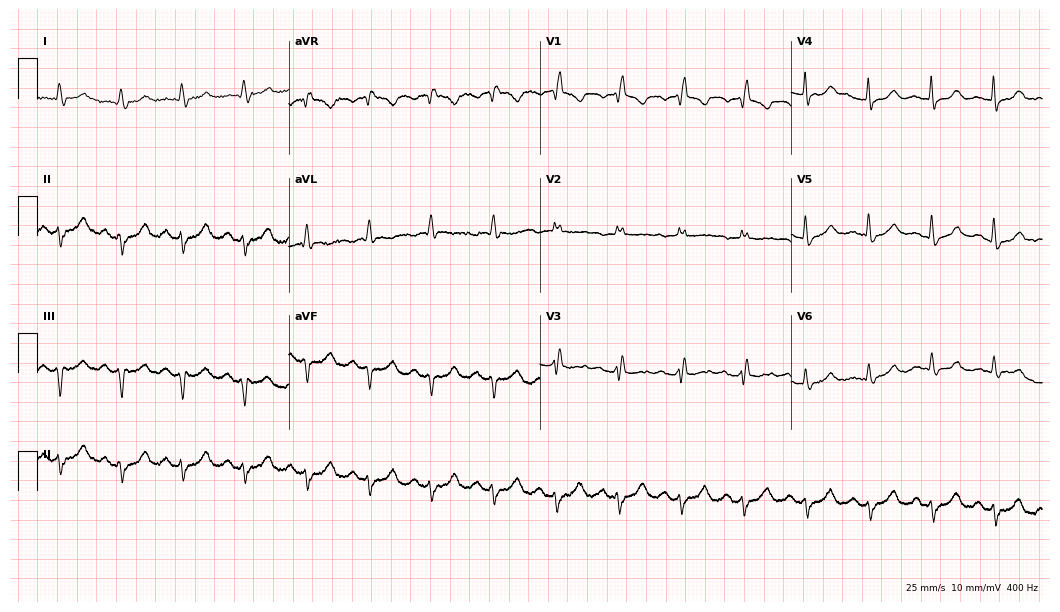
ECG — an 88-year-old male patient. Findings include right bundle branch block.